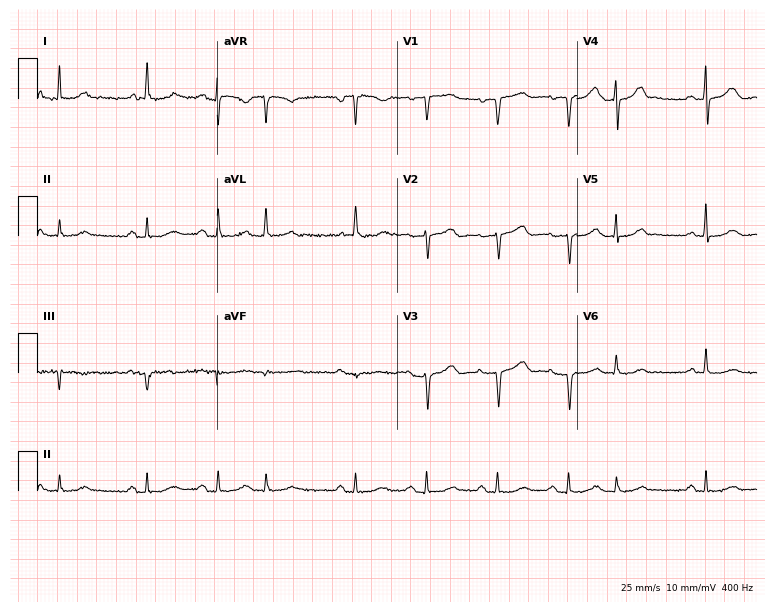
Electrocardiogram (7.3-second recording at 400 Hz), a 71-year-old female. Of the six screened findings (first-degree AV block, right bundle branch block (RBBB), left bundle branch block (LBBB), sinus bradycardia, atrial fibrillation (AF), sinus tachycardia), none is recorded.